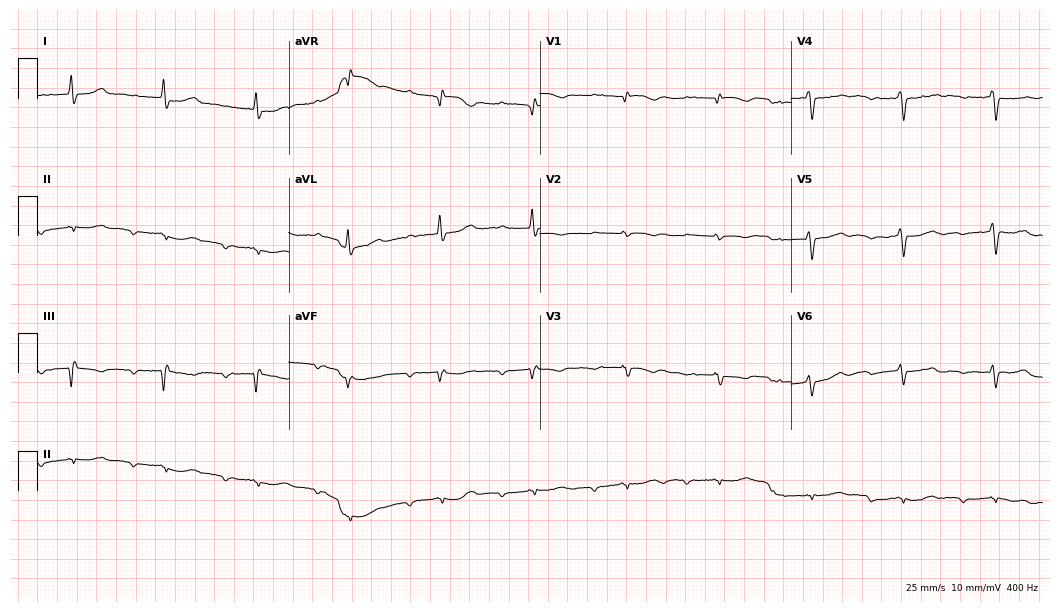
Electrocardiogram (10.2-second recording at 400 Hz), a female patient, 80 years old. Of the six screened findings (first-degree AV block, right bundle branch block, left bundle branch block, sinus bradycardia, atrial fibrillation, sinus tachycardia), none is recorded.